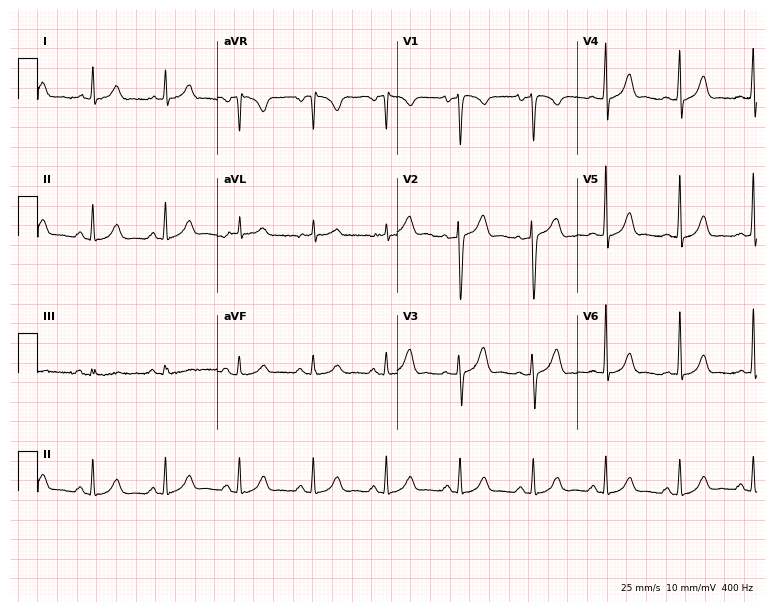
ECG — a 49-year-old male patient. Labelled as a normal ECG.